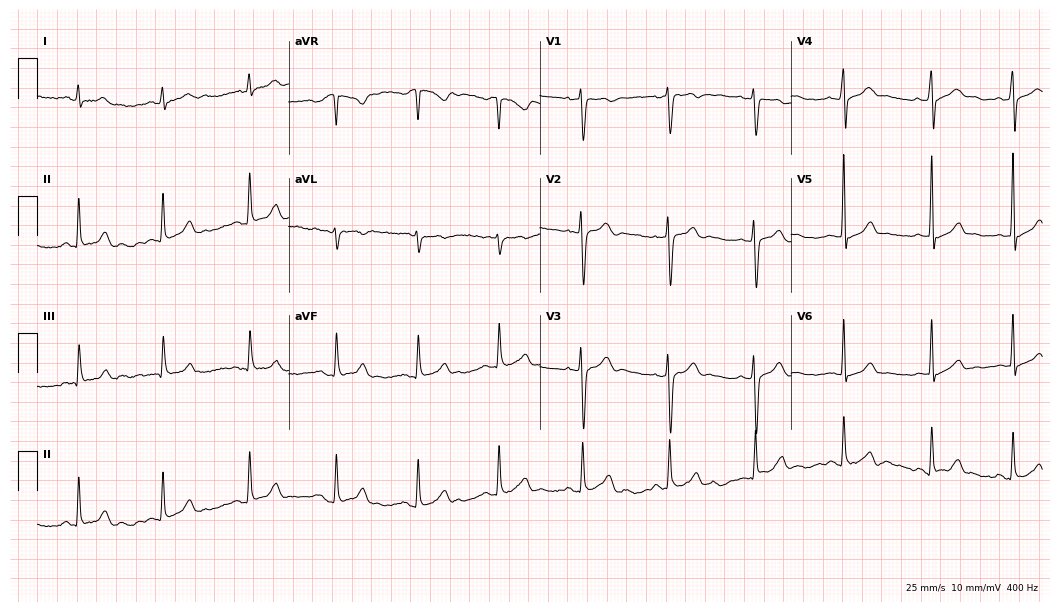
Electrocardiogram (10.2-second recording at 400 Hz), a 26-year-old male. Overall reading on record: normal ECG.